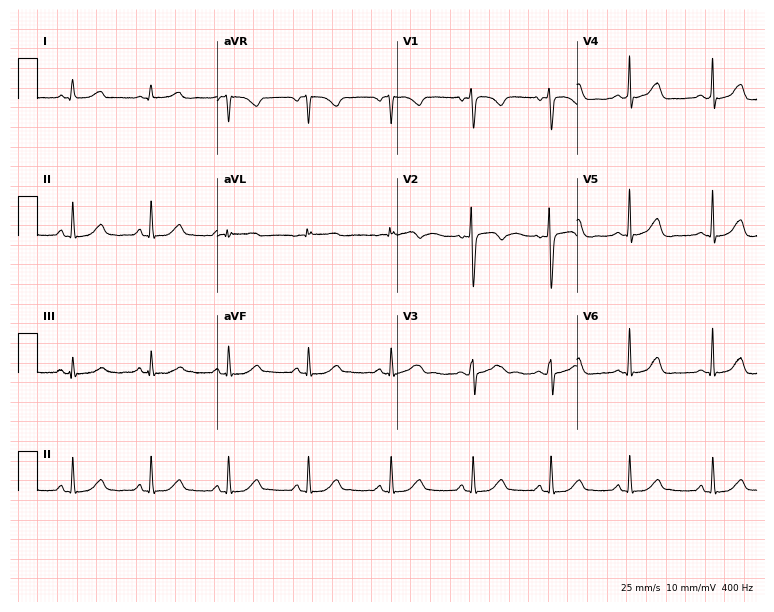
Electrocardiogram, a 19-year-old woman. Of the six screened findings (first-degree AV block, right bundle branch block, left bundle branch block, sinus bradycardia, atrial fibrillation, sinus tachycardia), none is recorded.